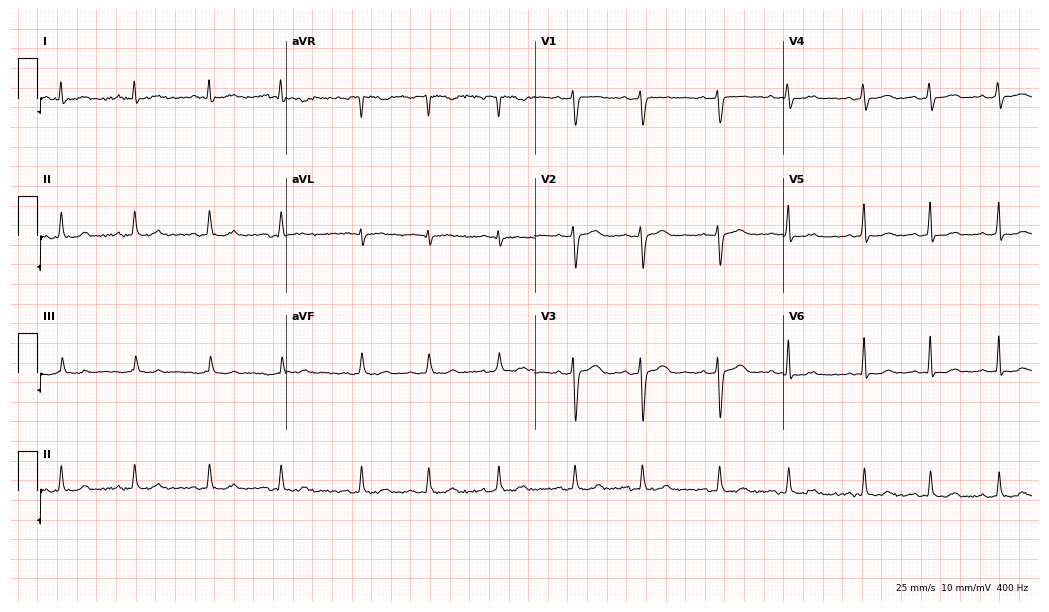
Standard 12-lead ECG recorded from a female, 51 years old. None of these six findings is recorded: first-degree AV block, right bundle branch block, left bundle branch block, sinus bradycardia, atrial fibrillation, sinus tachycardia. Findings outside these six are not listed.